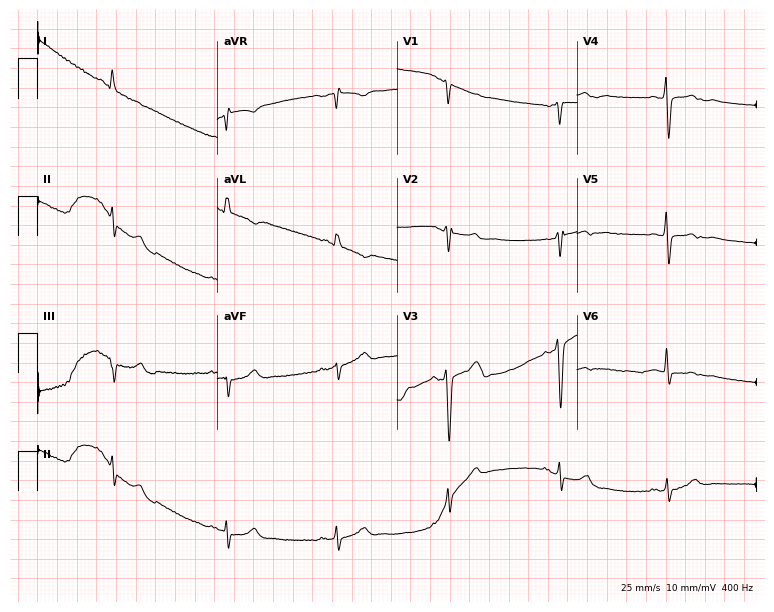
Electrocardiogram (7.3-second recording at 400 Hz), a 70-year-old male. Of the six screened findings (first-degree AV block, right bundle branch block (RBBB), left bundle branch block (LBBB), sinus bradycardia, atrial fibrillation (AF), sinus tachycardia), none is recorded.